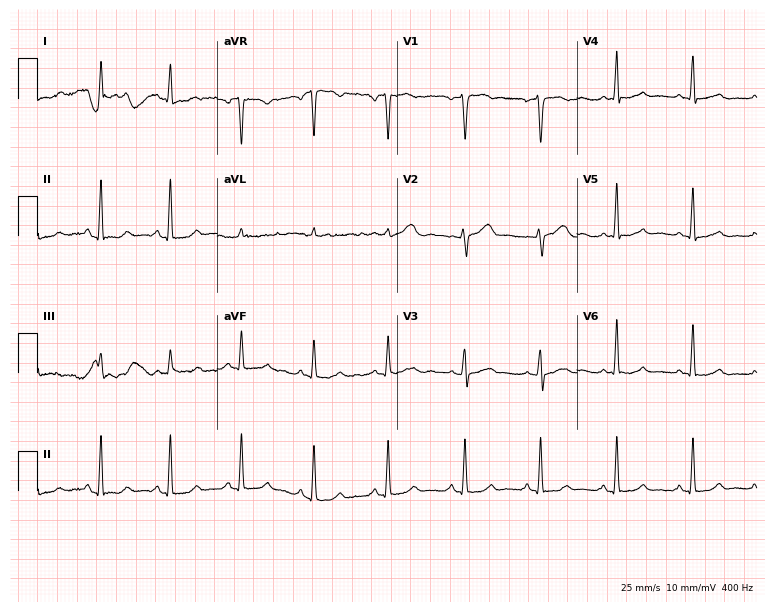
12-lead ECG from a woman, 30 years old. Screened for six findings — first-degree AV block, right bundle branch block, left bundle branch block, sinus bradycardia, atrial fibrillation, sinus tachycardia — none is recorded. Only these six findings were labelled.